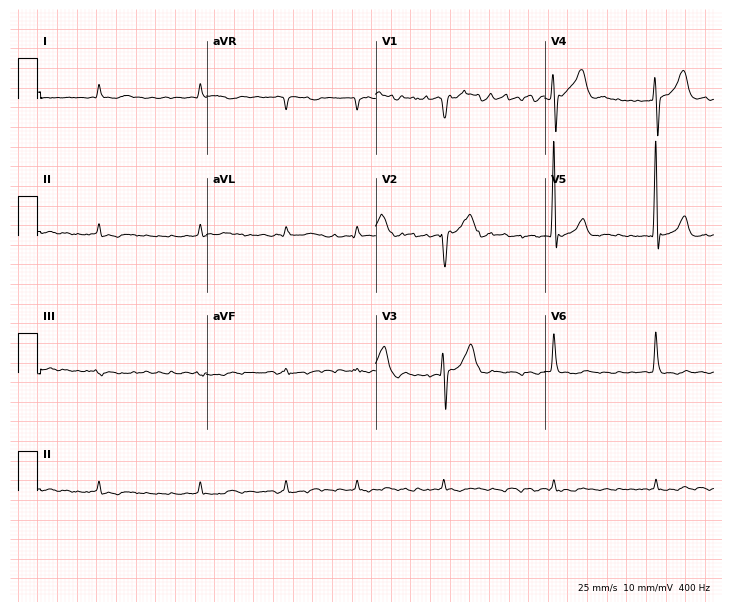
12-lead ECG from a male patient, 73 years old. Shows atrial fibrillation.